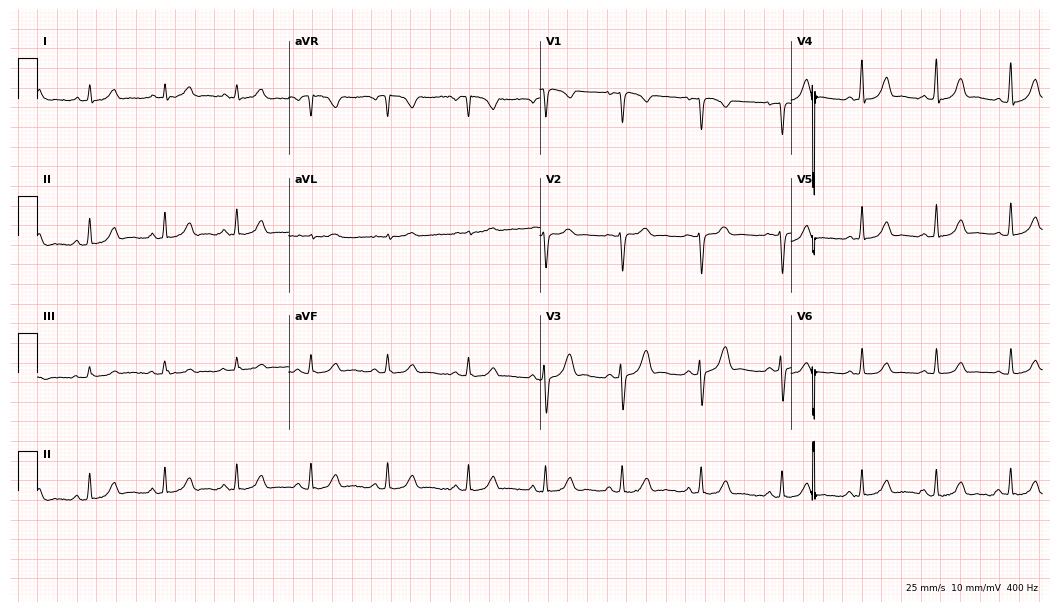
ECG — a 31-year-old female patient. Labelled as a normal ECG.